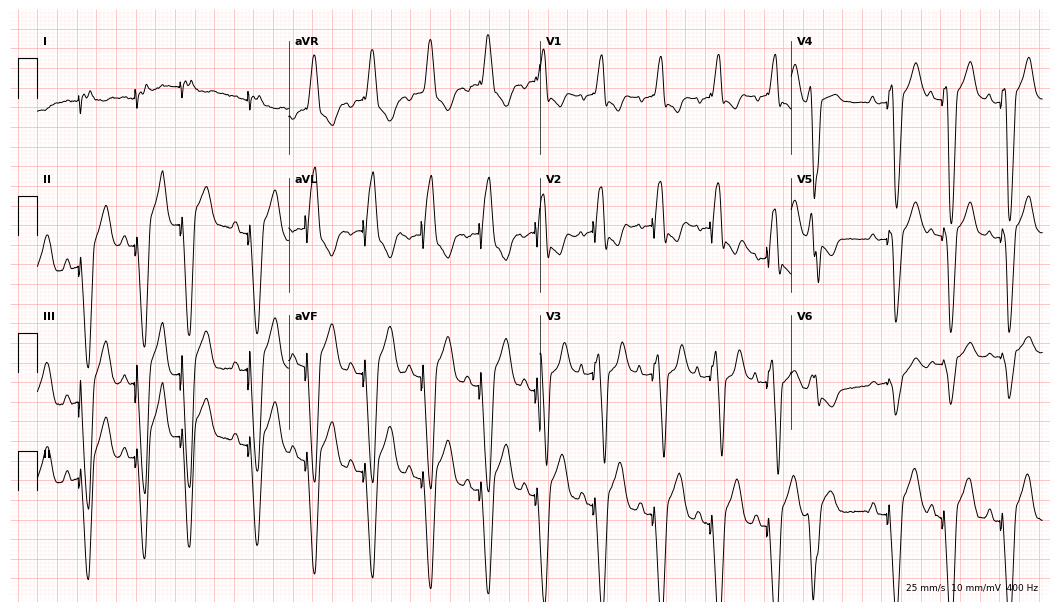
Standard 12-lead ECG recorded from a man, 84 years old (10.2-second recording at 400 Hz). None of these six findings is recorded: first-degree AV block, right bundle branch block, left bundle branch block, sinus bradycardia, atrial fibrillation, sinus tachycardia. Only these six findings were labelled.